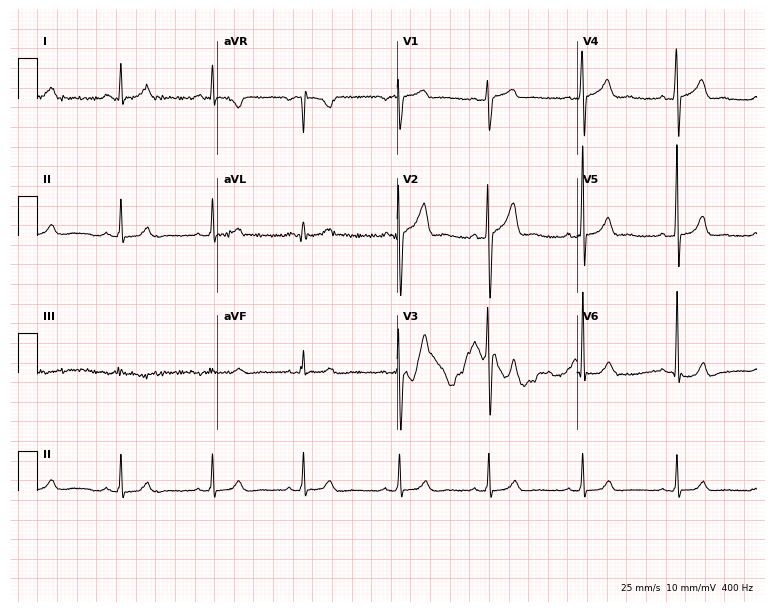
Electrocardiogram (7.3-second recording at 400 Hz), a 26-year-old male. Overall reading on record: normal ECG.